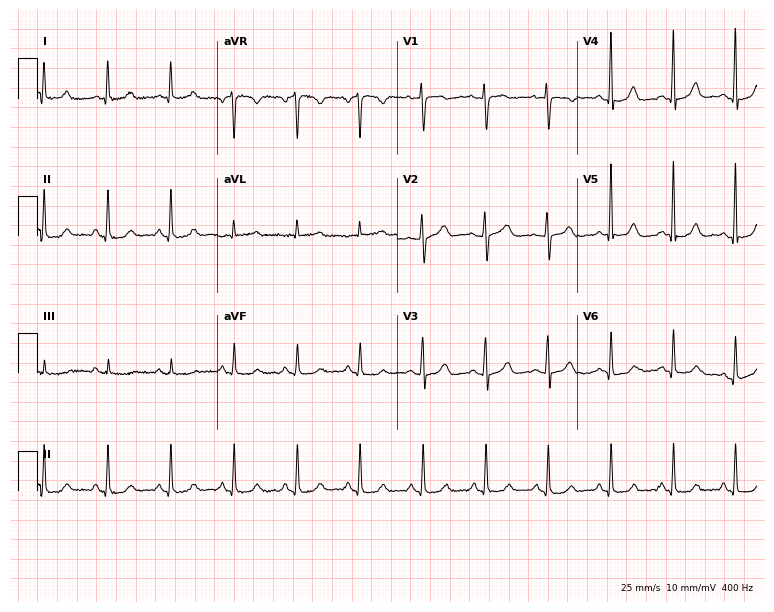
ECG (7.3-second recording at 400 Hz) — a 57-year-old female patient. Labelled as a normal ECG.